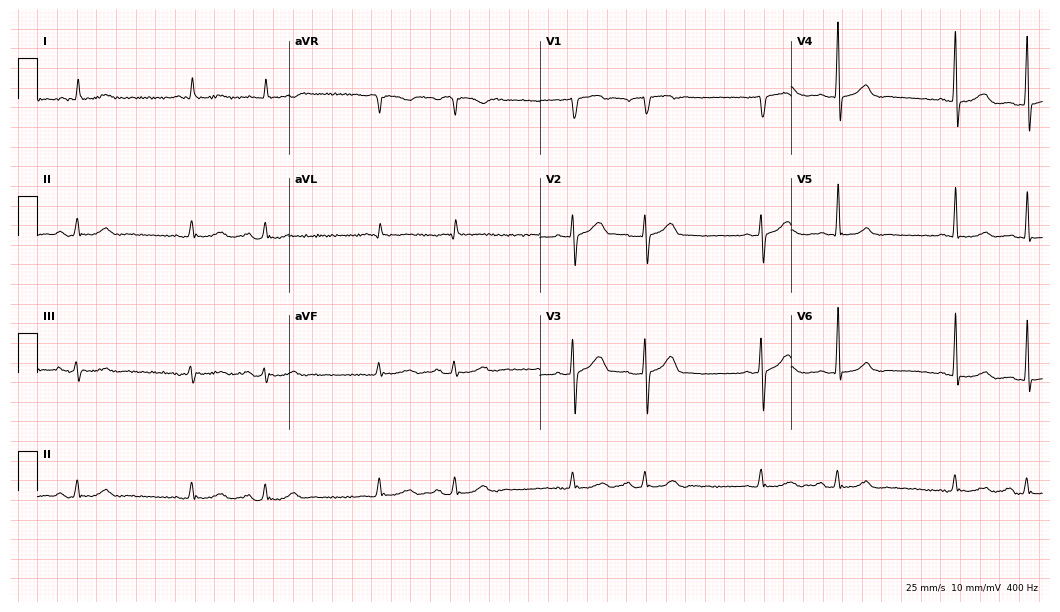
Resting 12-lead electrocardiogram. Patient: a 70-year-old man. None of these six findings is recorded: first-degree AV block, right bundle branch block, left bundle branch block, sinus bradycardia, atrial fibrillation, sinus tachycardia.